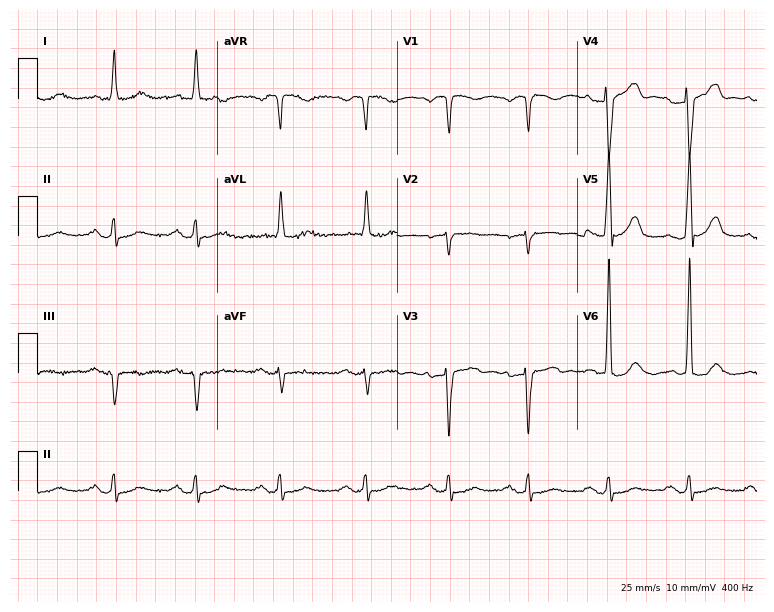
Standard 12-lead ECG recorded from a 67-year-old male patient (7.3-second recording at 400 Hz). The tracing shows first-degree AV block.